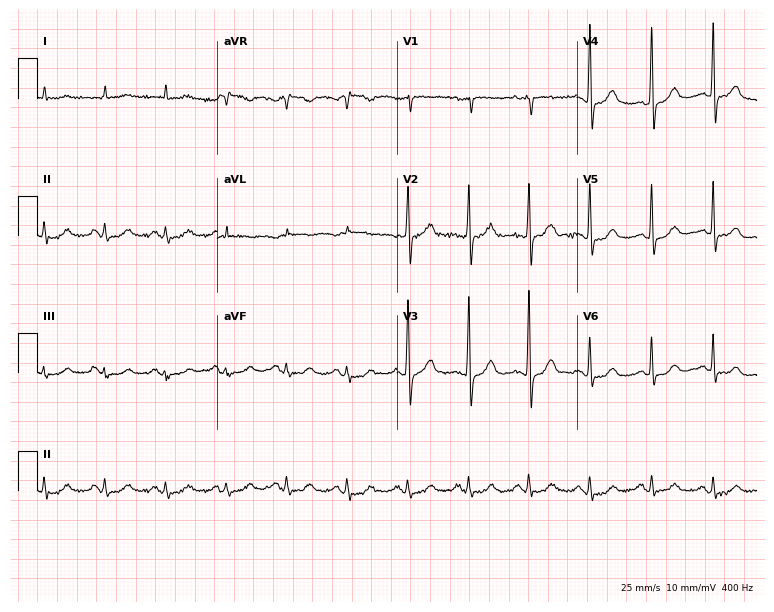
Resting 12-lead electrocardiogram (7.3-second recording at 400 Hz). Patient: a male, 84 years old. None of these six findings is recorded: first-degree AV block, right bundle branch block, left bundle branch block, sinus bradycardia, atrial fibrillation, sinus tachycardia.